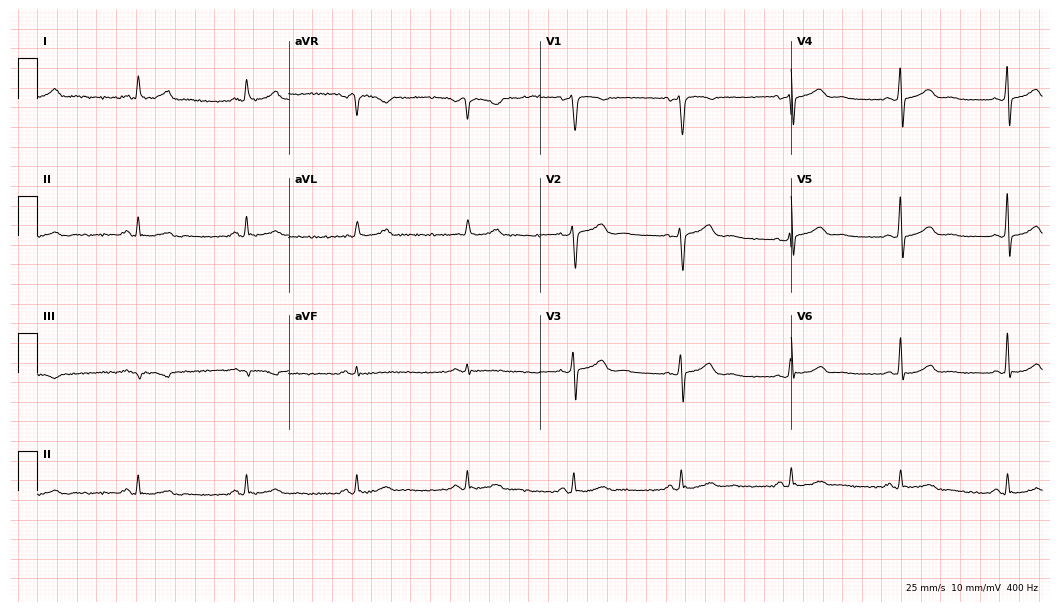
Resting 12-lead electrocardiogram. Patient: a 54-year-old woman. Read as a normal ECG.